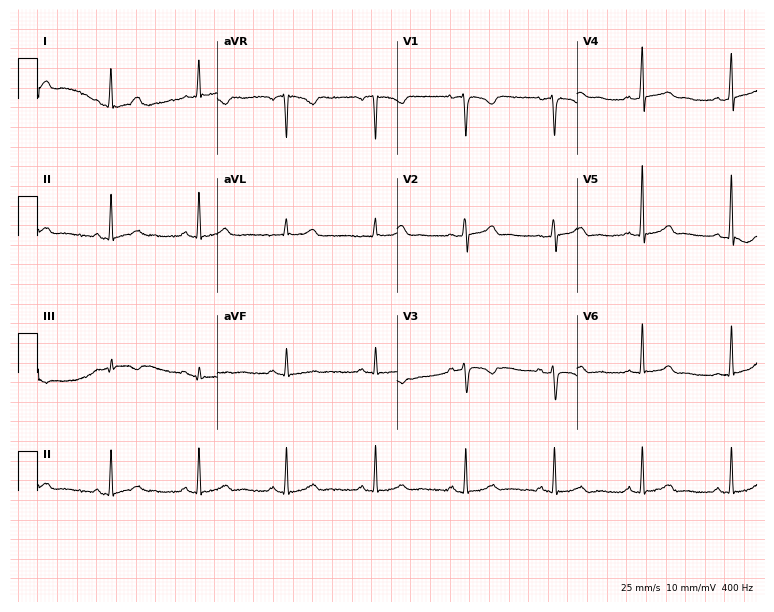
Electrocardiogram, a female, 29 years old. Overall reading on record: normal ECG.